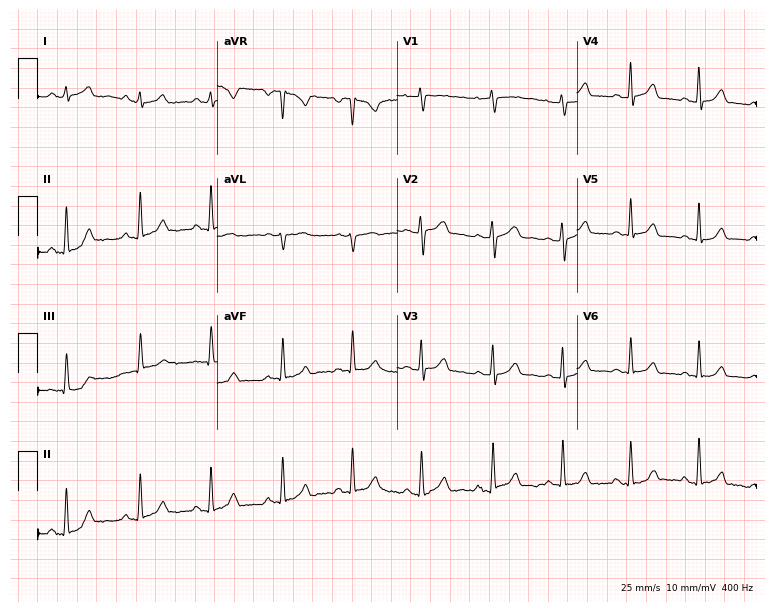
ECG — a woman, 38 years old. Screened for six findings — first-degree AV block, right bundle branch block, left bundle branch block, sinus bradycardia, atrial fibrillation, sinus tachycardia — none is recorded.